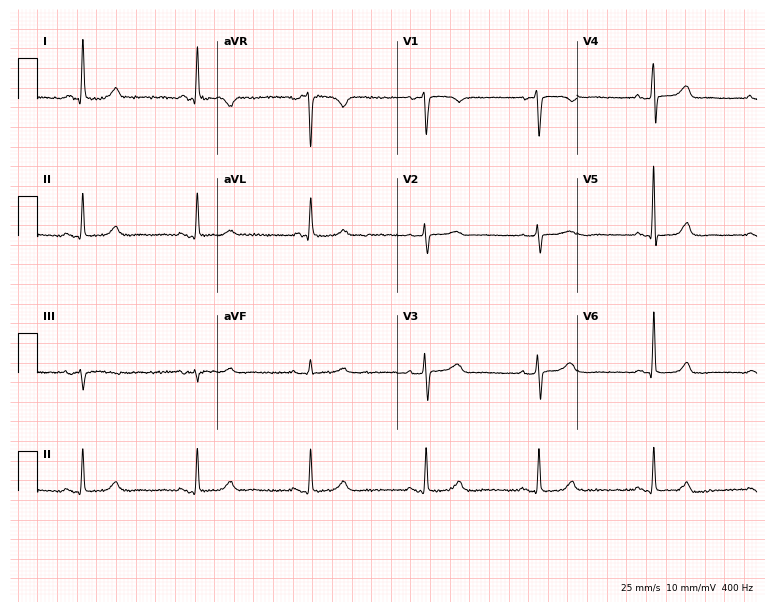
Electrocardiogram, a female, 76 years old. Overall reading on record: normal ECG.